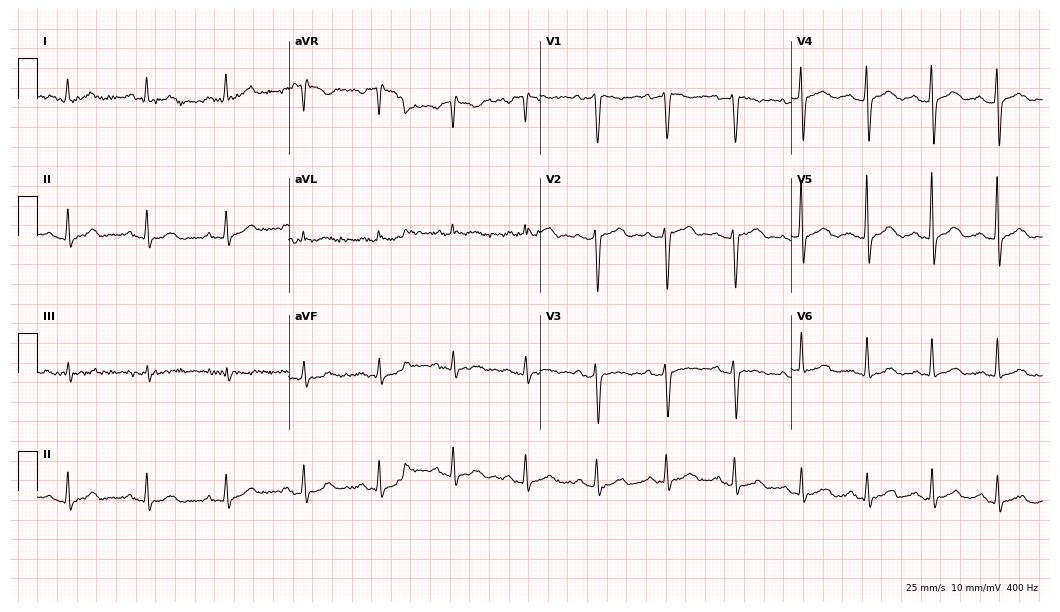
12-lead ECG from a male patient, 58 years old (10.2-second recording at 400 Hz). Recorded interpretation: within normal limits.